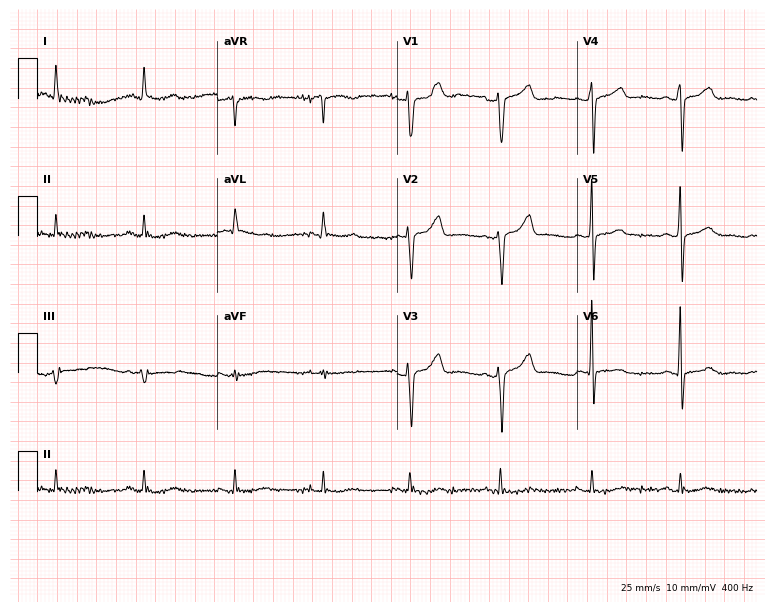
Electrocardiogram, a female, 81 years old. Overall reading on record: normal ECG.